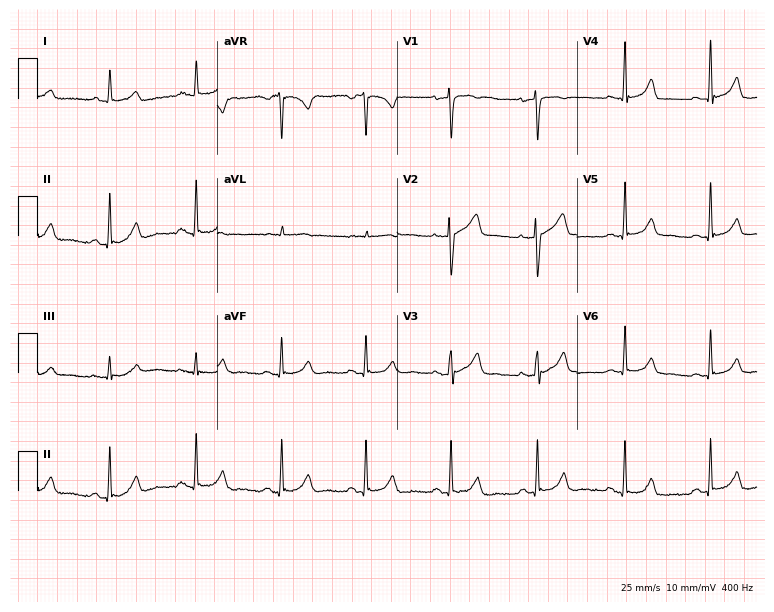
Resting 12-lead electrocardiogram. Patient: a 53-year-old female. Read as a normal ECG.